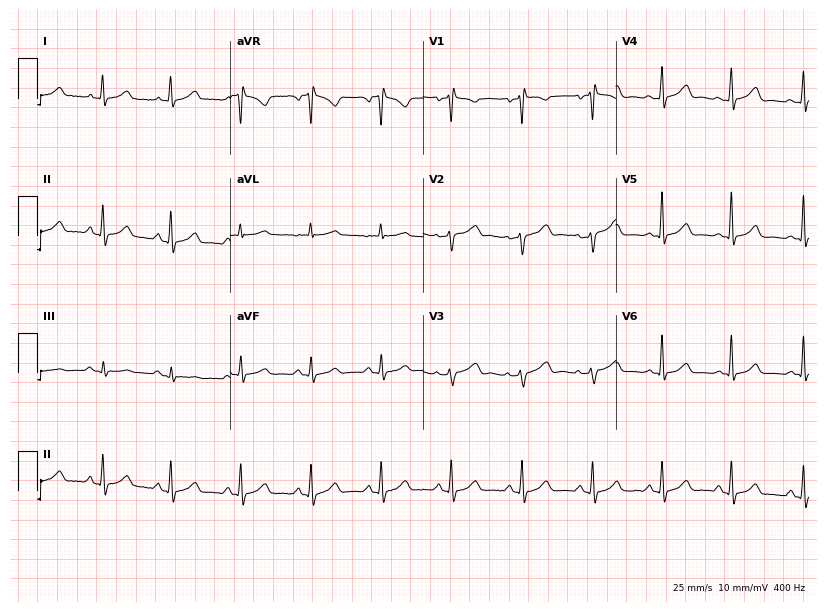
Resting 12-lead electrocardiogram (7.9-second recording at 400 Hz). Patient: a female, 42 years old. Read as a normal ECG.